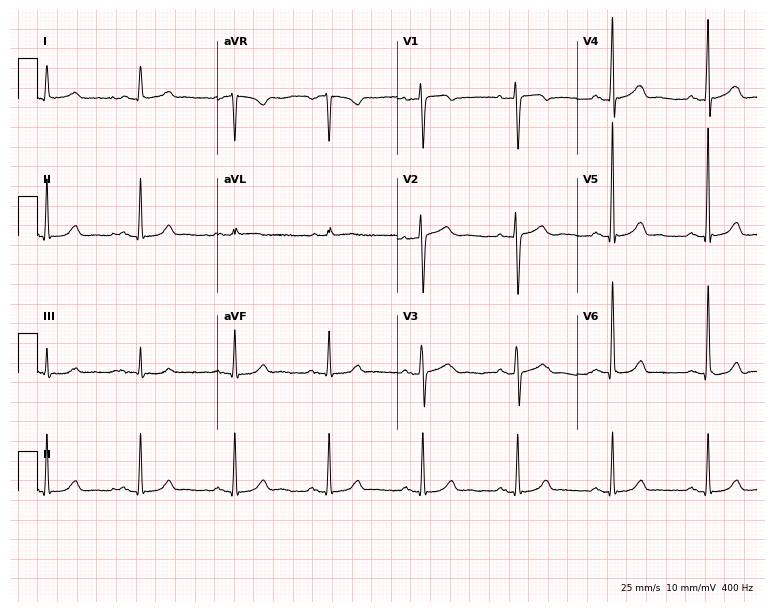
Resting 12-lead electrocardiogram (7.3-second recording at 400 Hz). Patient: a 63-year-old female. Read as a normal ECG.